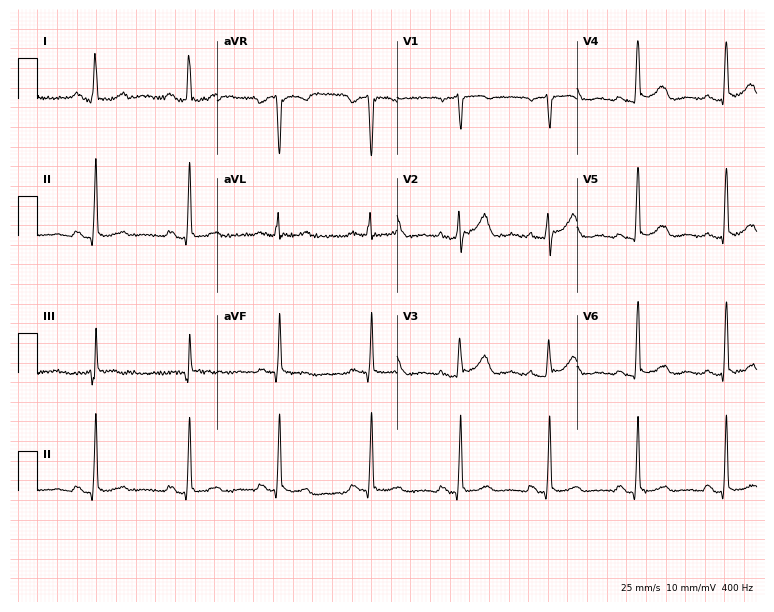
12-lead ECG (7.3-second recording at 400 Hz) from a woman, 39 years old. Screened for six findings — first-degree AV block, right bundle branch block, left bundle branch block, sinus bradycardia, atrial fibrillation, sinus tachycardia — none is recorded. Only these six findings were labelled.